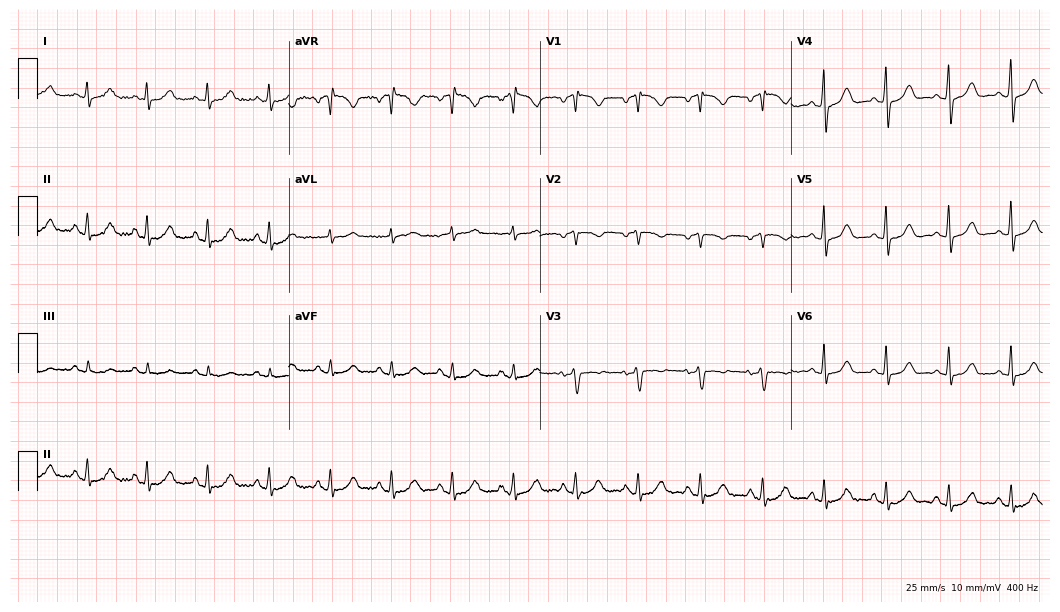
12-lead ECG from a female patient, 59 years old (10.2-second recording at 400 Hz). No first-degree AV block, right bundle branch block, left bundle branch block, sinus bradycardia, atrial fibrillation or sinus tachycardia recorded for this tracing.